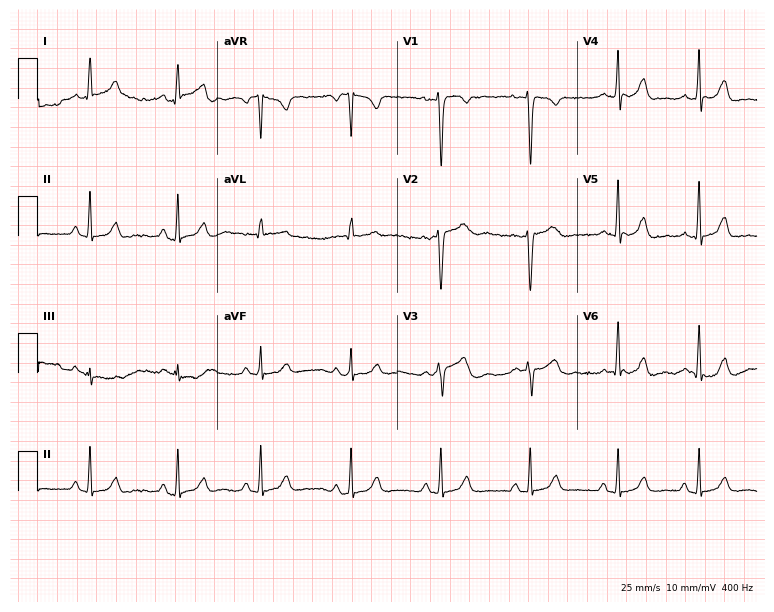
12-lead ECG from a 30-year-old woman. Labelled as a normal ECG.